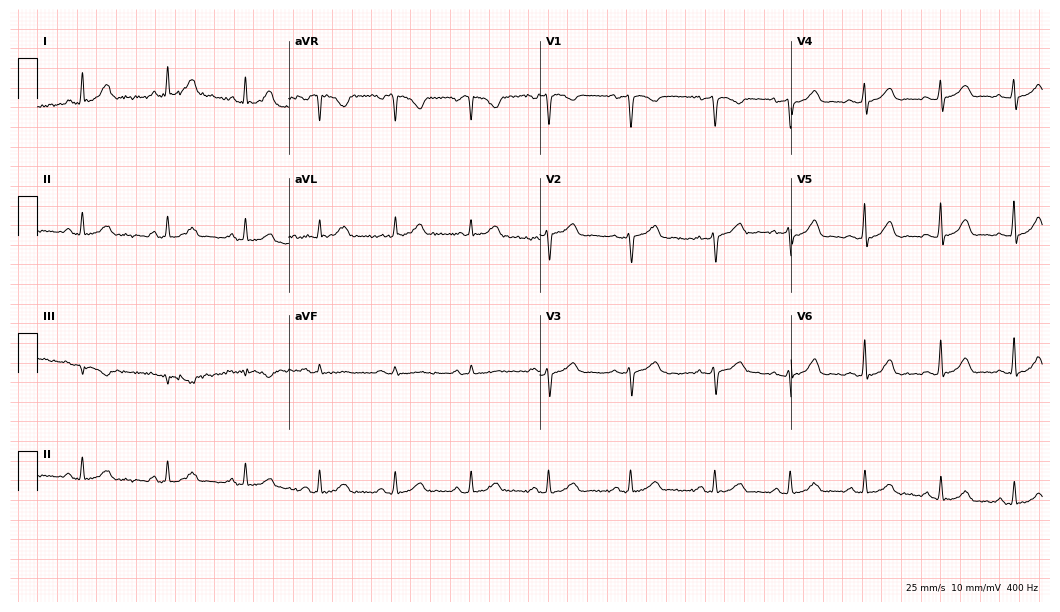
Electrocardiogram (10.2-second recording at 400 Hz), a 40-year-old female. Overall reading on record: normal ECG.